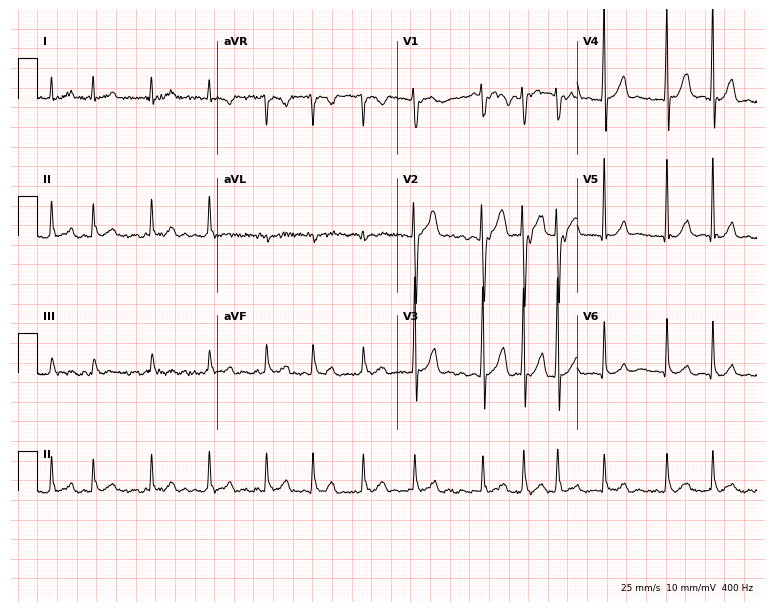
ECG — a 41-year-old male. Findings include atrial fibrillation (AF).